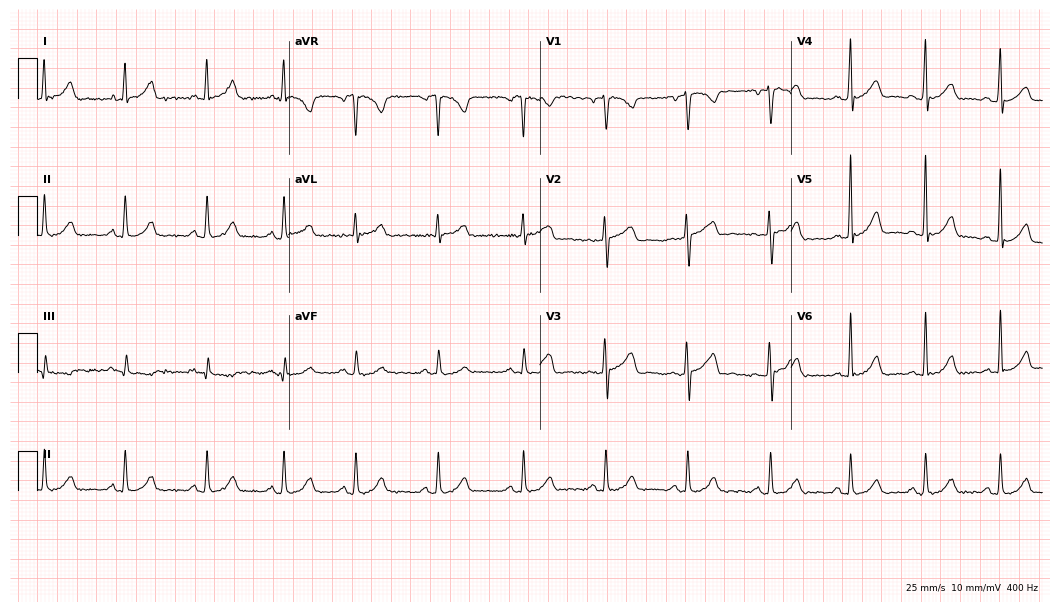
Electrocardiogram (10.2-second recording at 400 Hz), a 27-year-old female patient. Of the six screened findings (first-degree AV block, right bundle branch block (RBBB), left bundle branch block (LBBB), sinus bradycardia, atrial fibrillation (AF), sinus tachycardia), none is recorded.